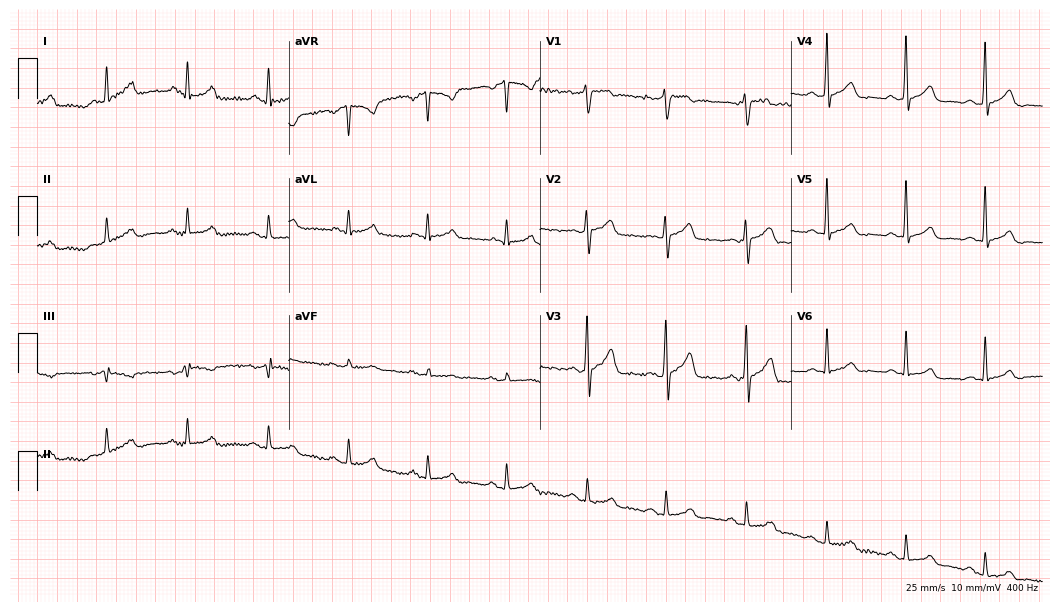
Standard 12-lead ECG recorded from a 39-year-old man (10.2-second recording at 400 Hz). Read as a normal ECG.